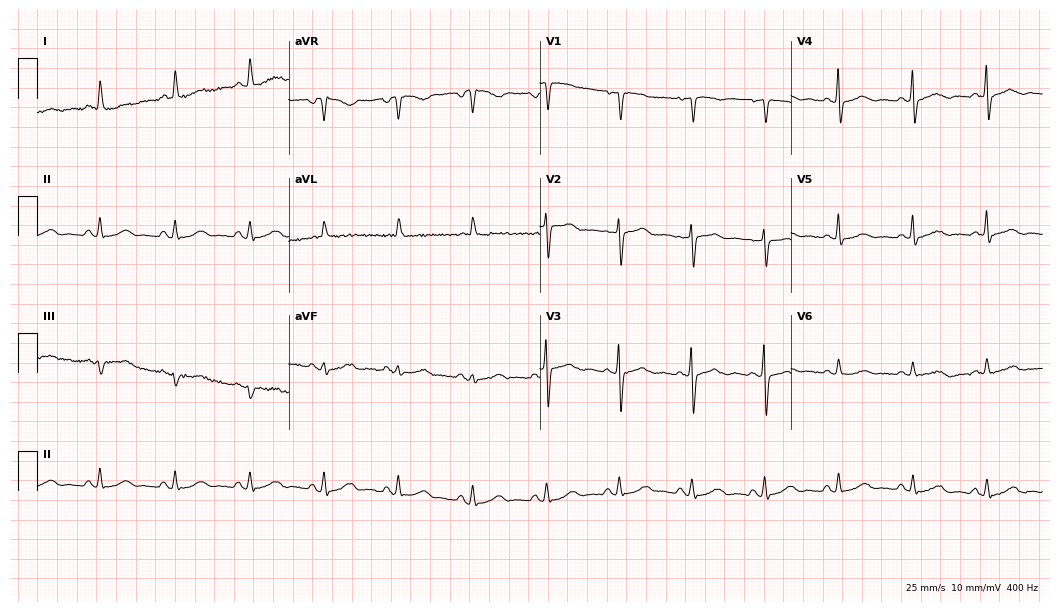
12-lead ECG from a woman, 70 years old. Recorded interpretation: within normal limits.